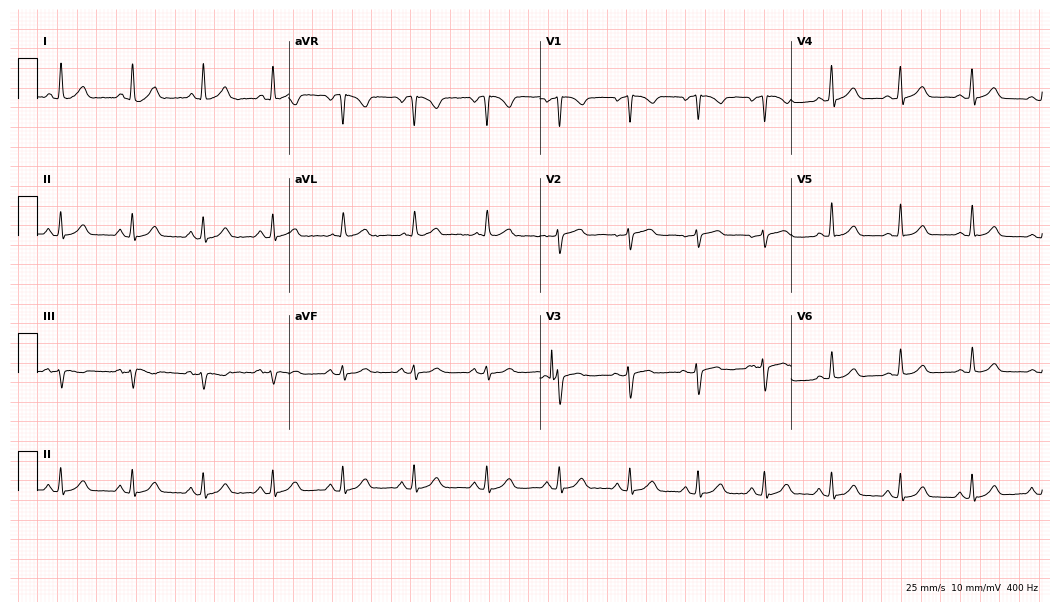
Standard 12-lead ECG recorded from a woman, 61 years old. Read as a normal ECG.